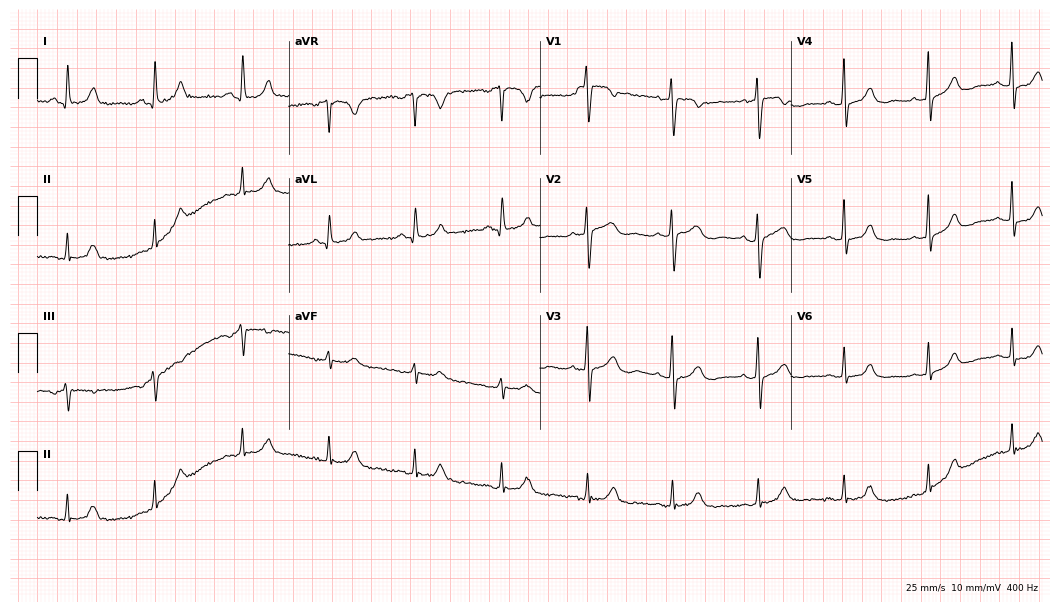
12-lead ECG from a female patient, 68 years old. Recorded interpretation: within normal limits.